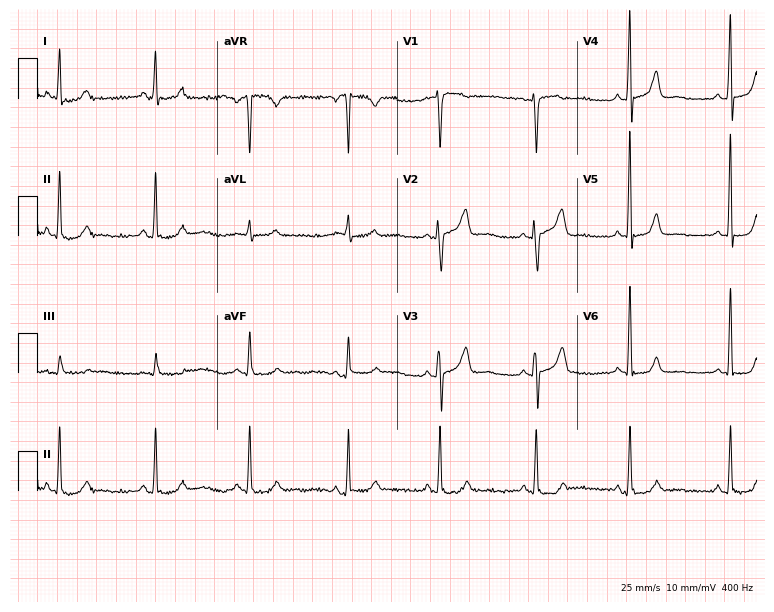
ECG — a 31-year-old woman. Screened for six findings — first-degree AV block, right bundle branch block, left bundle branch block, sinus bradycardia, atrial fibrillation, sinus tachycardia — none is recorded. Other findings, if any, are not listed.